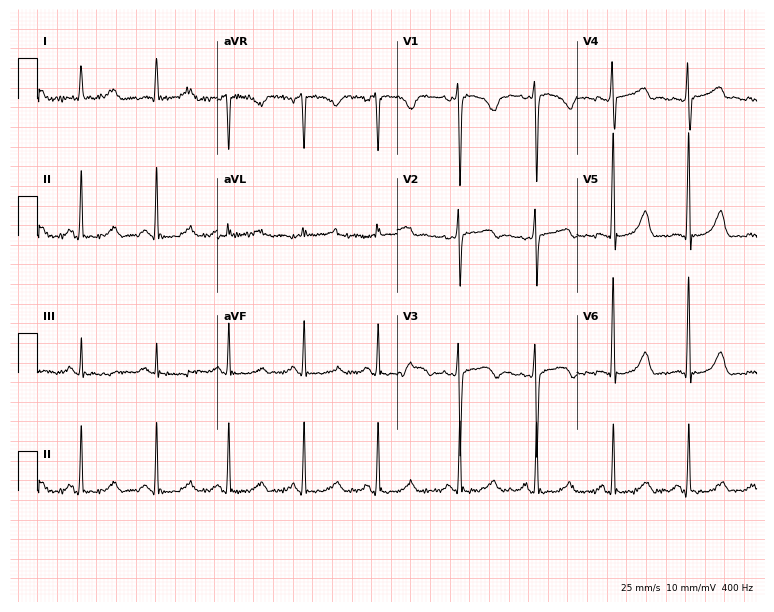
Standard 12-lead ECG recorded from a female, 36 years old (7.3-second recording at 400 Hz). None of these six findings is recorded: first-degree AV block, right bundle branch block, left bundle branch block, sinus bradycardia, atrial fibrillation, sinus tachycardia.